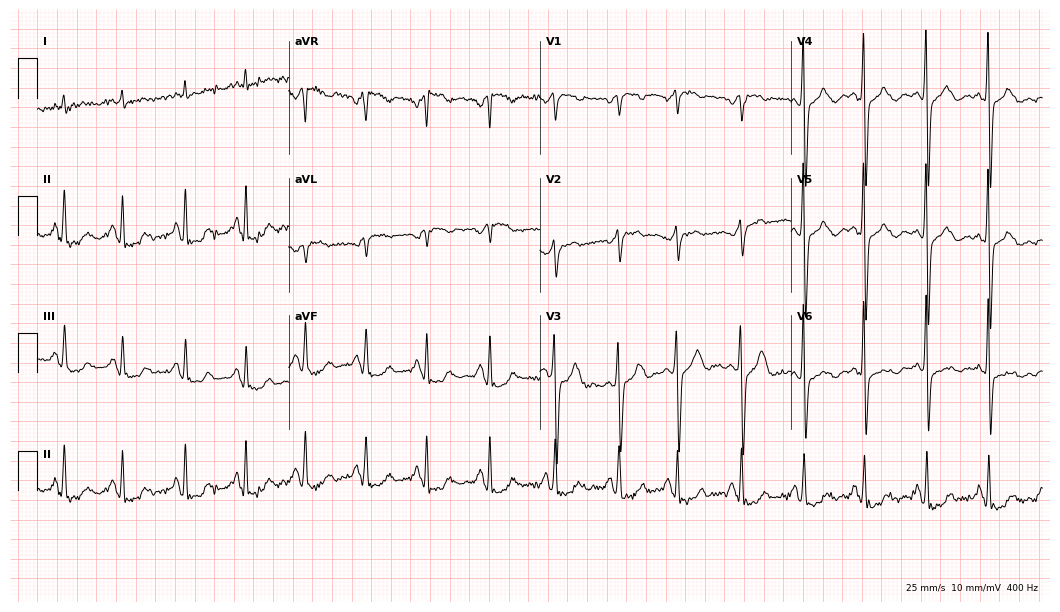
ECG — a male patient, 54 years old. Screened for six findings — first-degree AV block, right bundle branch block, left bundle branch block, sinus bradycardia, atrial fibrillation, sinus tachycardia — none is recorded. Findings outside these six are not listed.